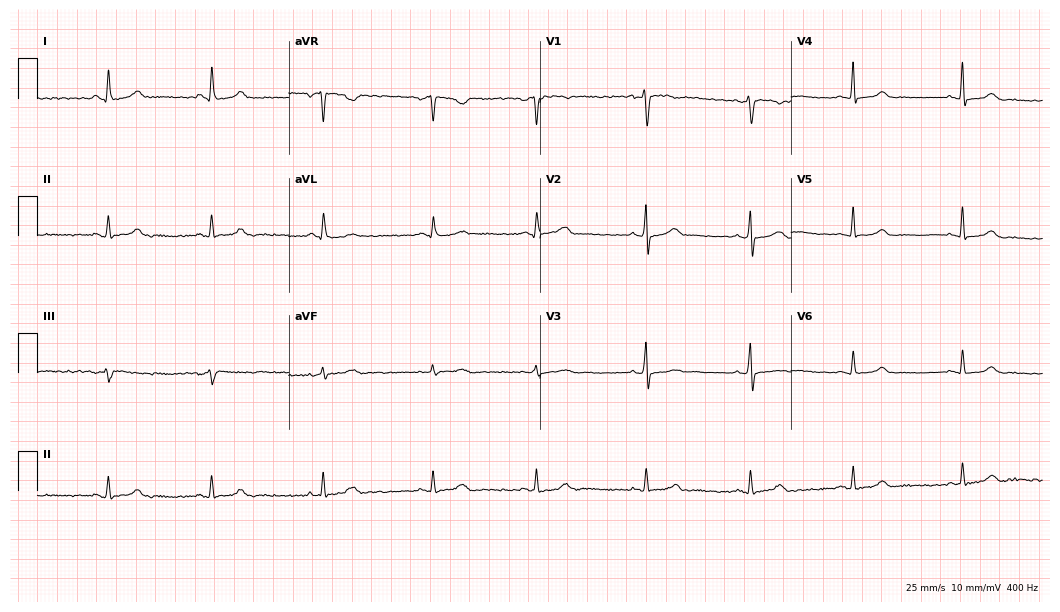
Resting 12-lead electrocardiogram. Patient: a 42-year-old female. Read as a normal ECG.